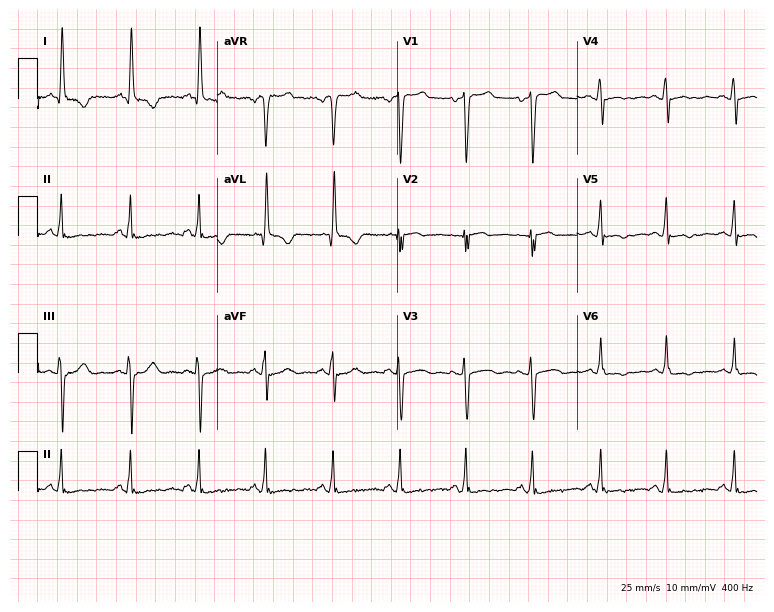
12-lead ECG from a 49-year-old female patient. No first-degree AV block, right bundle branch block, left bundle branch block, sinus bradycardia, atrial fibrillation or sinus tachycardia recorded for this tracing.